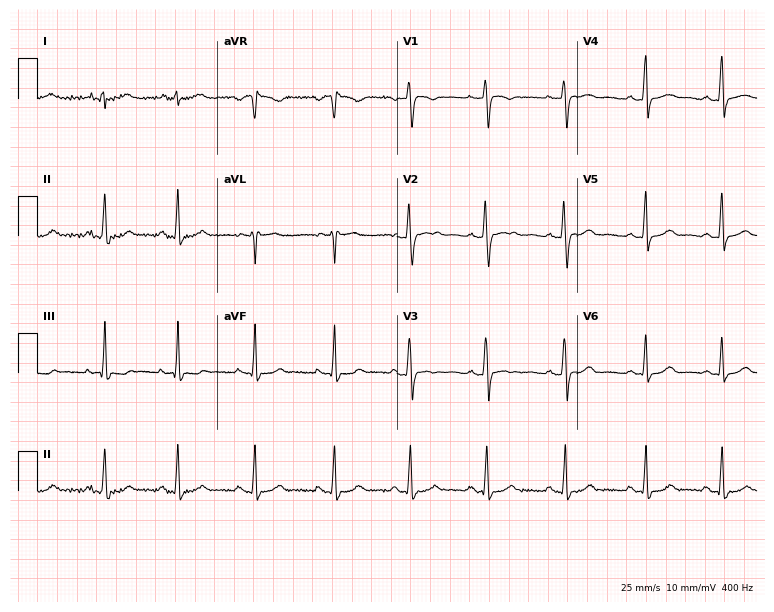
Resting 12-lead electrocardiogram. Patient: a 19-year-old female. Read as a normal ECG.